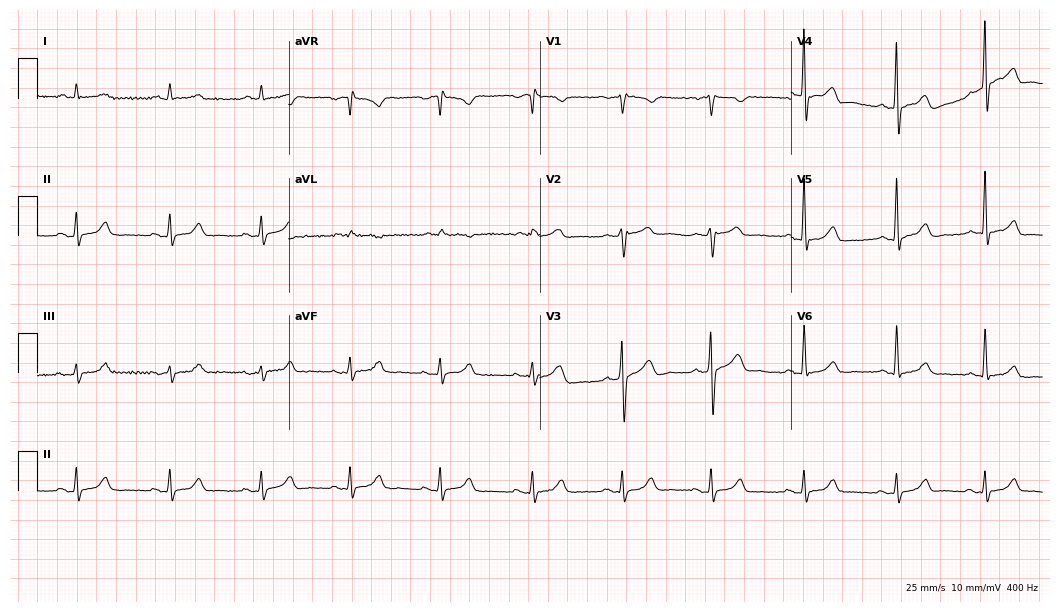
12-lead ECG from a male patient, 59 years old. Labelled as a normal ECG.